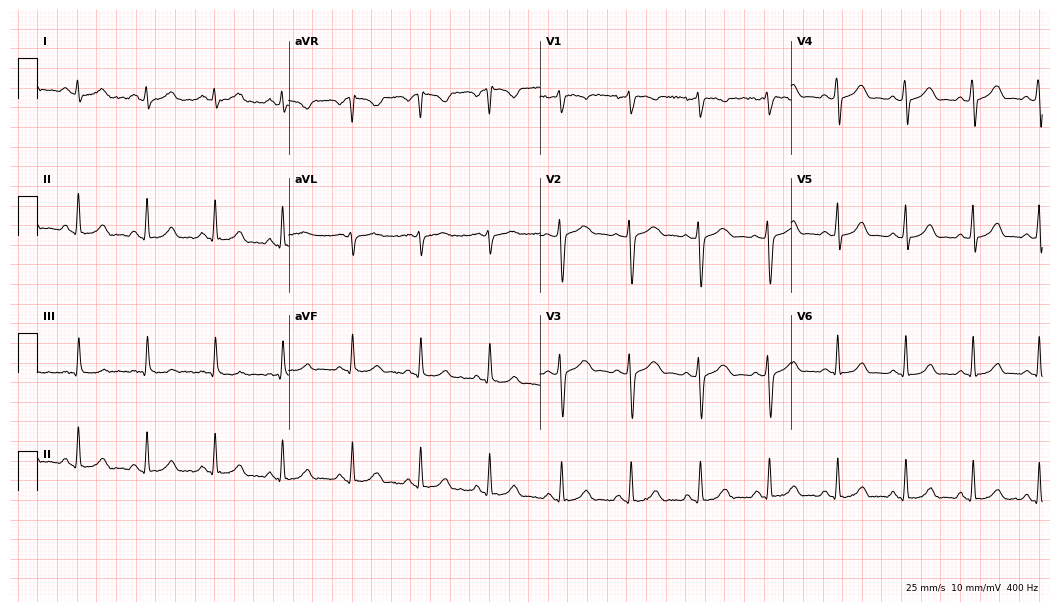
Standard 12-lead ECG recorded from a 23-year-old female patient (10.2-second recording at 400 Hz). Read as a normal ECG.